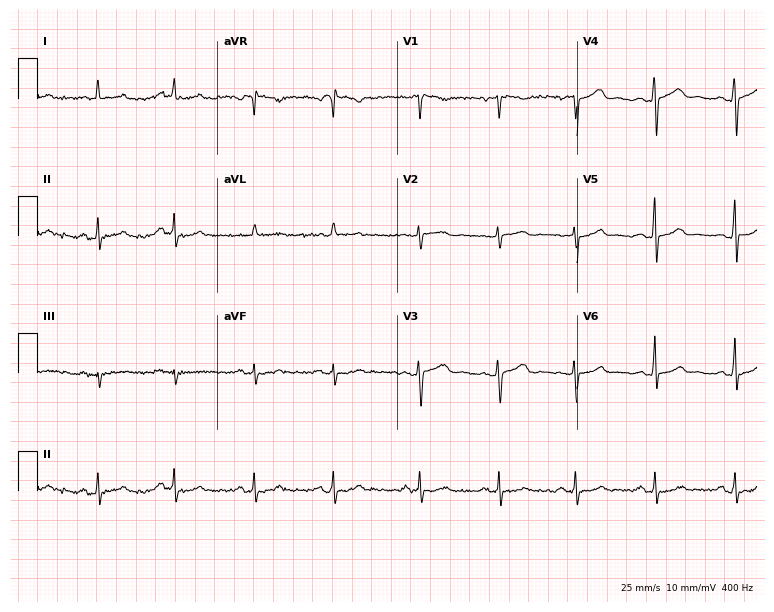
Electrocardiogram (7.3-second recording at 400 Hz), a female, 25 years old. Of the six screened findings (first-degree AV block, right bundle branch block, left bundle branch block, sinus bradycardia, atrial fibrillation, sinus tachycardia), none is recorded. Findings outside these six are not listed.